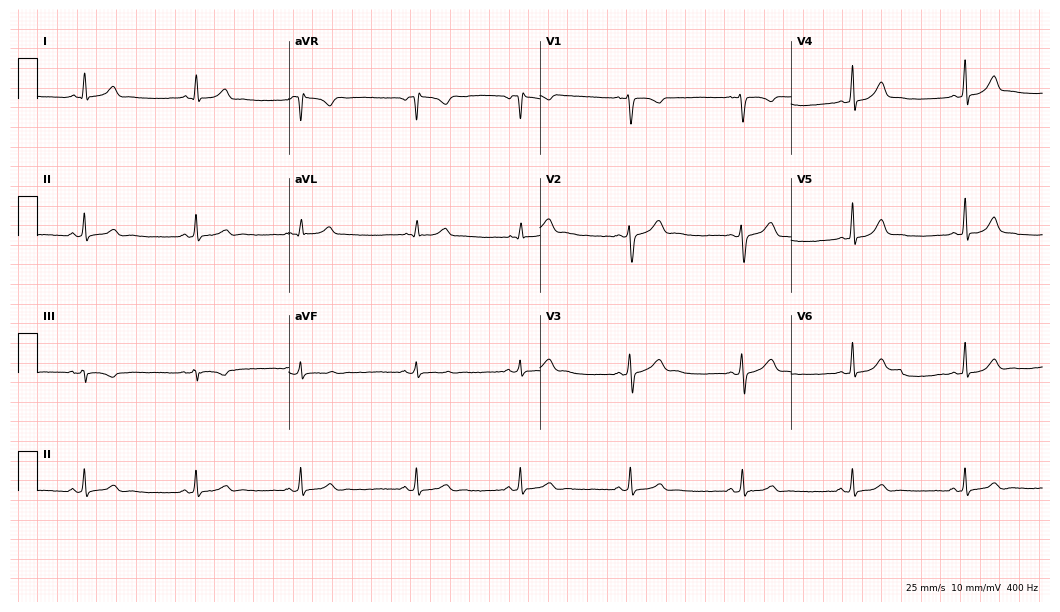
Resting 12-lead electrocardiogram (10.2-second recording at 400 Hz). Patient: a 27-year-old female. Read as a normal ECG.